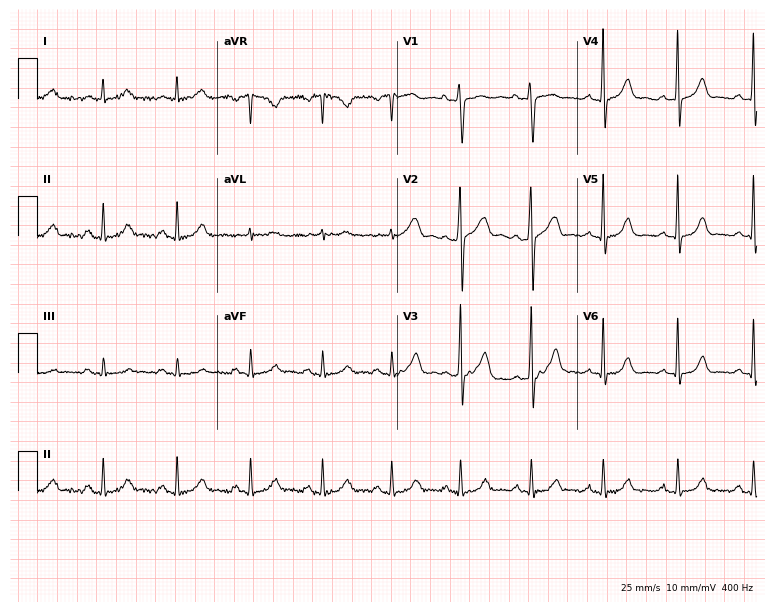
Resting 12-lead electrocardiogram (7.3-second recording at 400 Hz). Patient: a man, 49 years old. Read as a normal ECG.